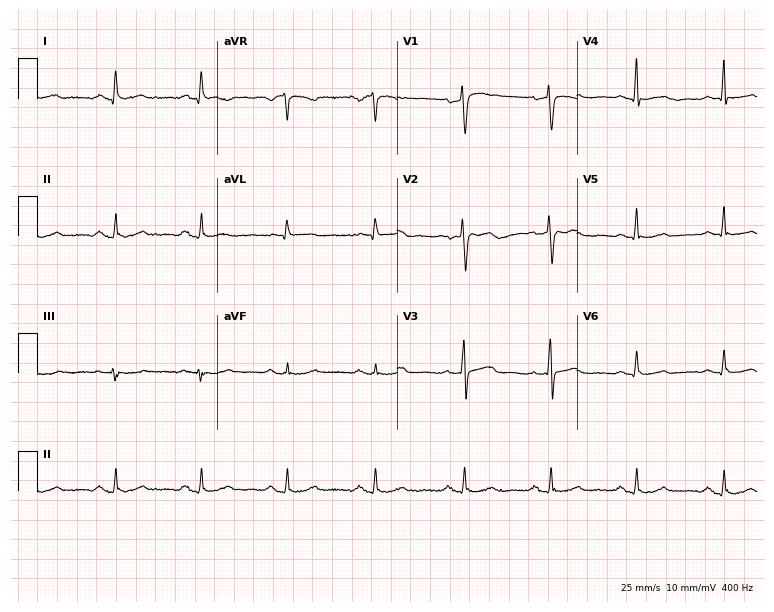
Resting 12-lead electrocardiogram (7.3-second recording at 400 Hz). Patient: a 58-year-old woman. None of these six findings is recorded: first-degree AV block, right bundle branch block (RBBB), left bundle branch block (LBBB), sinus bradycardia, atrial fibrillation (AF), sinus tachycardia. Other findings, if any, are not listed.